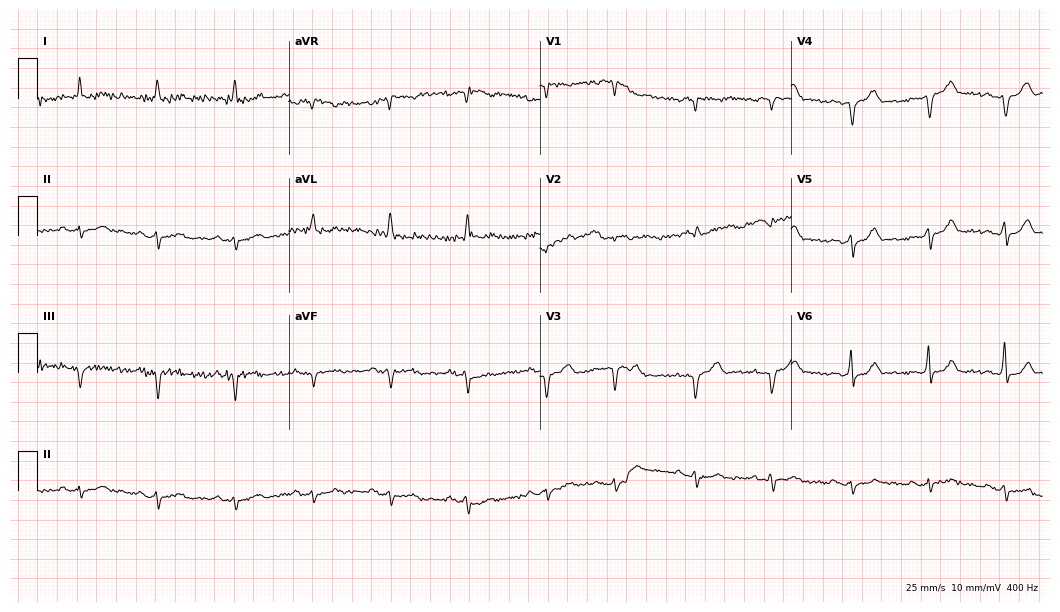
12-lead ECG from a 76-year-old man (10.2-second recording at 400 Hz). No first-degree AV block, right bundle branch block, left bundle branch block, sinus bradycardia, atrial fibrillation or sinus tachycardia recorded for this tracing.